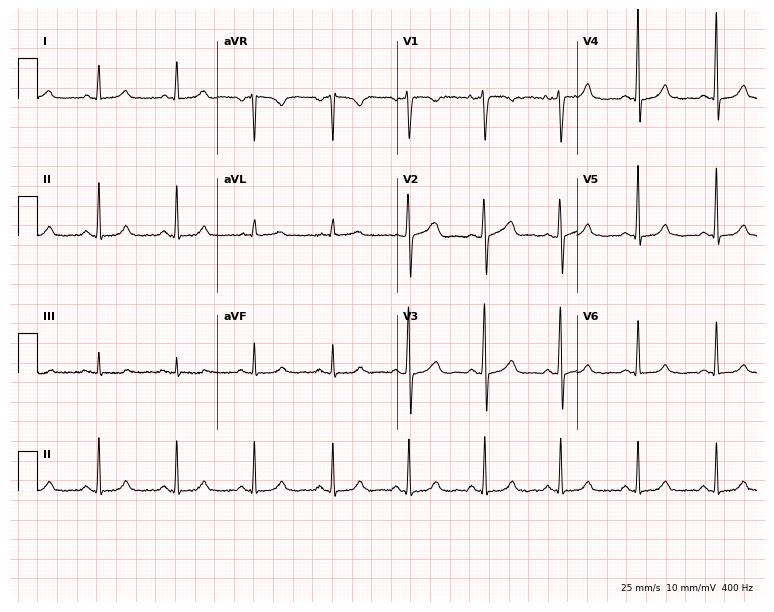
ECG — a woman, 40 years old. Labelled as a normal ECG.